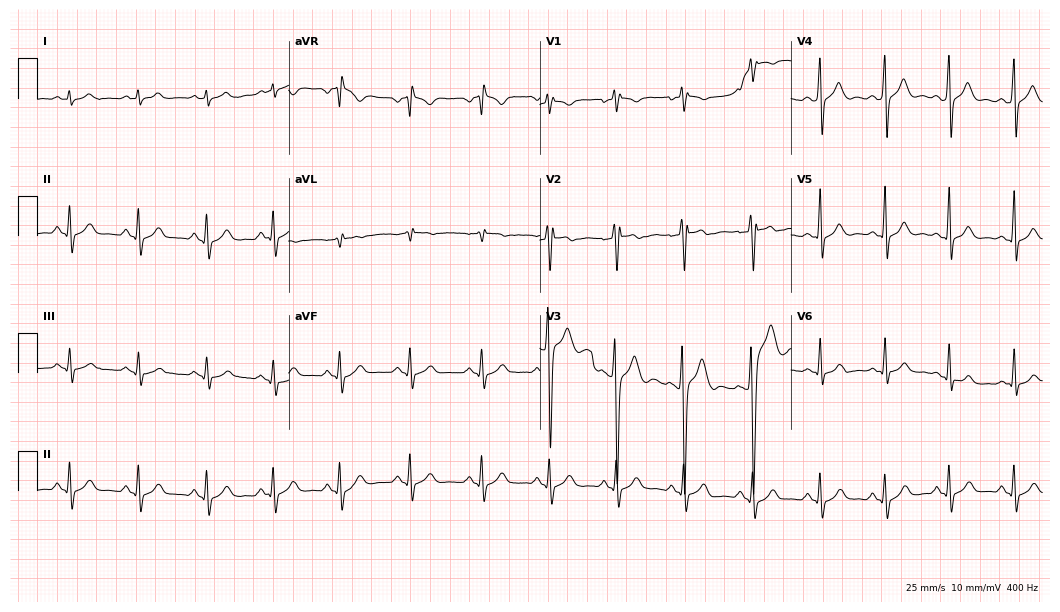
ECG — a man, 17 years old. Labelled as a normal ECG.